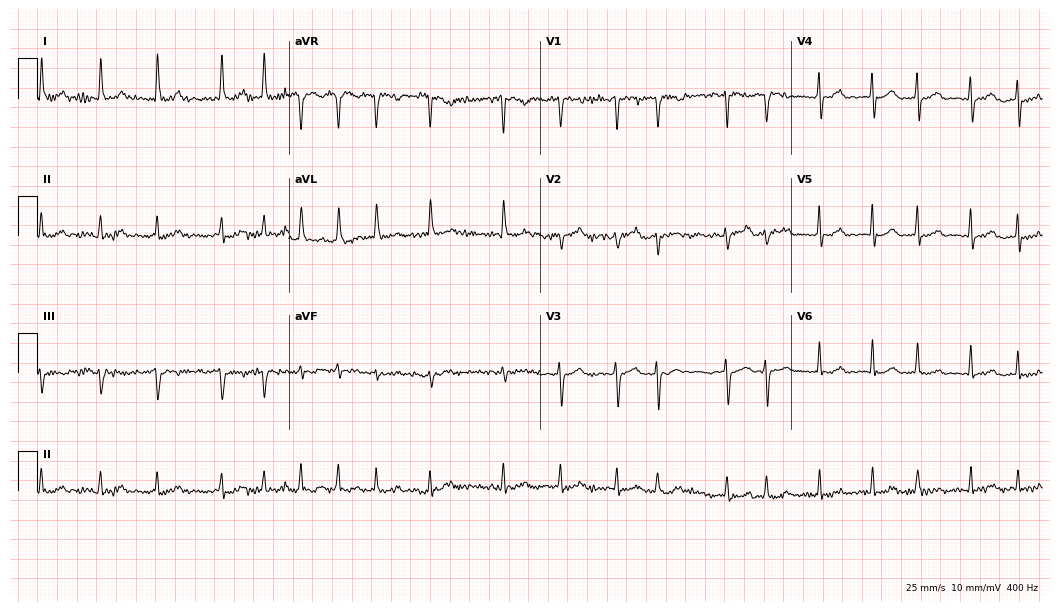
Resting 12-lead electrocardiogram. Patient: a female, 66 years old. The tracing shows atrial fibrillation.